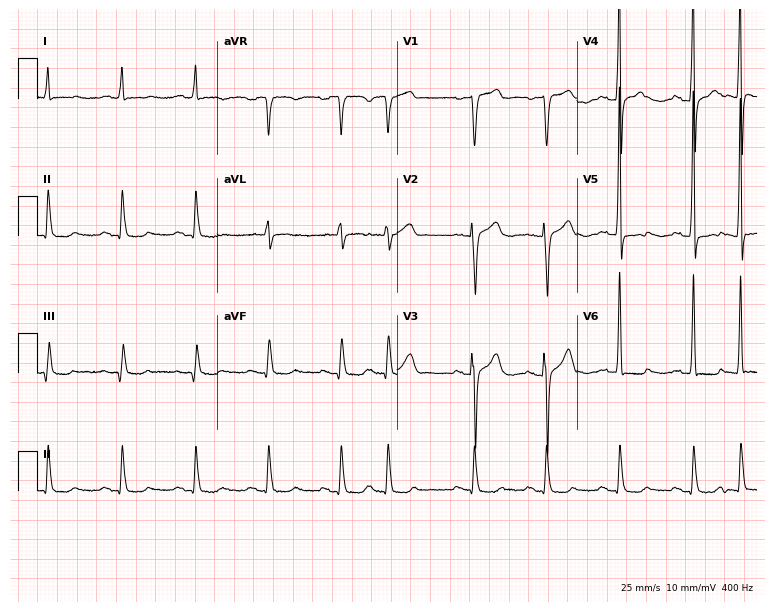
Electrocardiogram (7.3-second recording at 400 Hz), a 72-year-old man. Of the six screened findings (first-degree AV block, right bundle branch block, left bundle branch block, sinus bradycardia, atrial fibrillation, sinus tachycardia), none is recorded. Other findings, if any, are not listed.